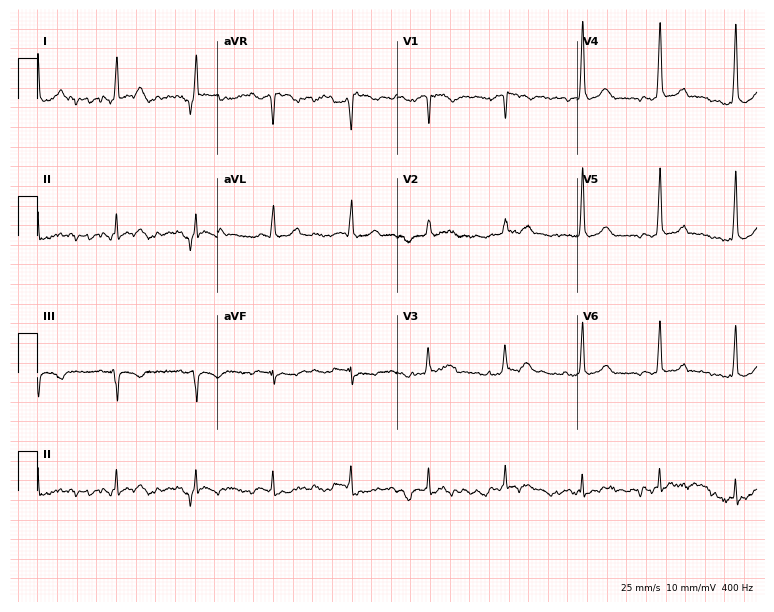
12-lead ECG from a male patient, 60 years old. Recorded interpretation: within normal limits.